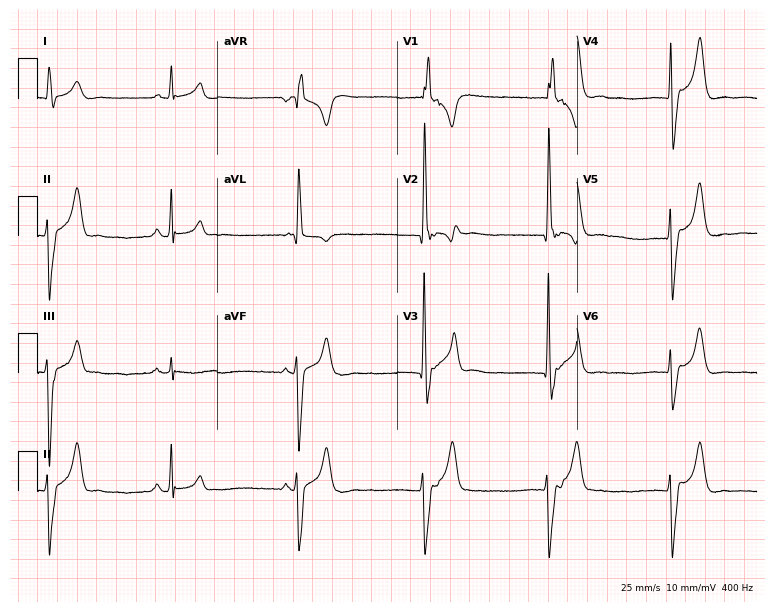
12-lead ECG (7.3-second recording at 400 Hz) from a male, 36 years old. Screened for six findings — first-degree AV block, right bundle branch block, left bundle branch block, sinus bradycardia, atrial fibrillation, sinus tachycardia — none is recorded. Findings outside these six are not listed.